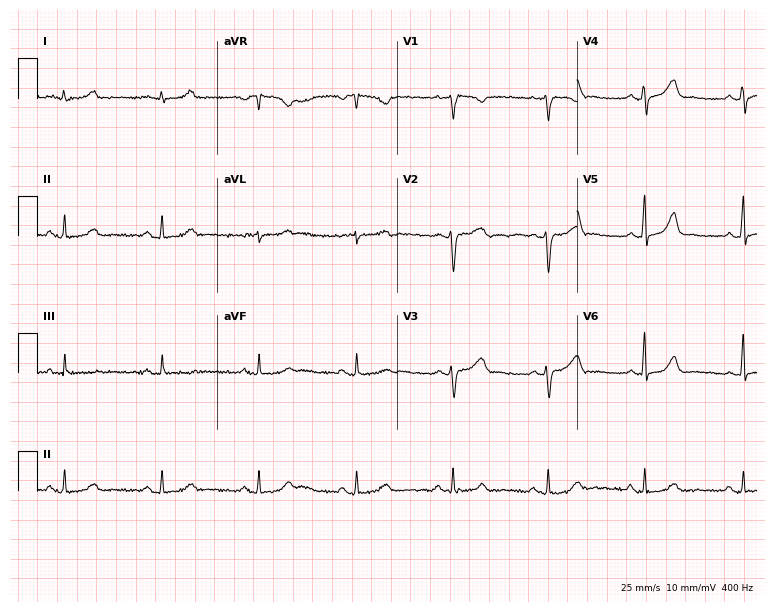
12-lead ECG from a woman, 27 years old. Labelled as a normal ECG.